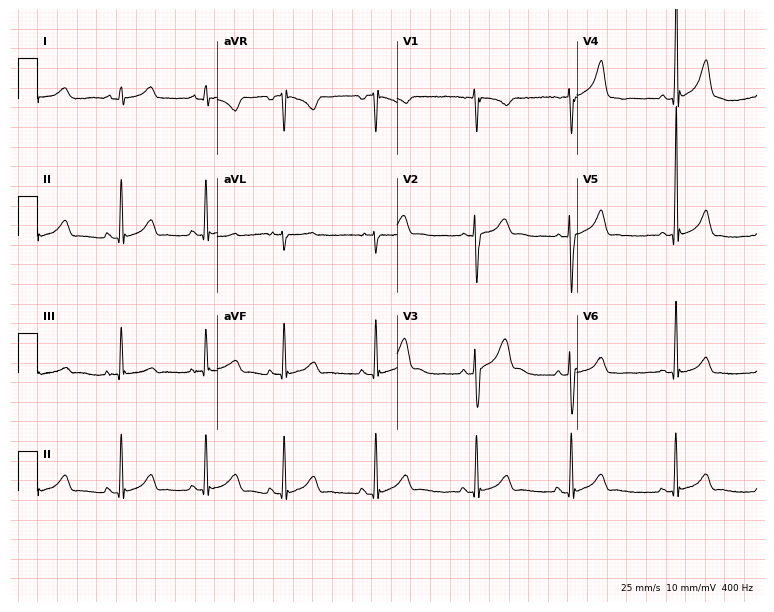
ECG (7.3-second recording at 400 Hz) — a male, 17 years old. Labelled as a normal ECG.